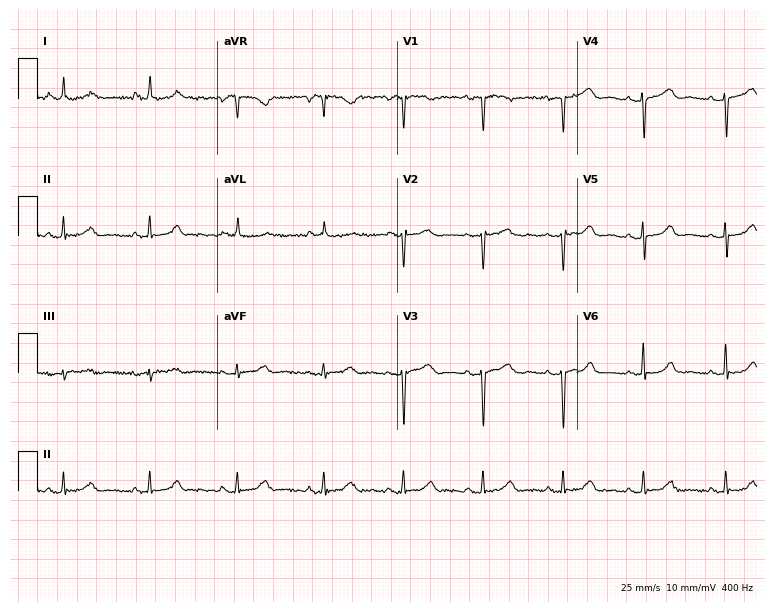
12-lead ECG (7.3-second recording at 400 Hz) from a 45-year-old female patient. Screened for six findings — first-degree AV block, right bundle branch block (RBBB), left bundle branch block (LBBB), sinus bradycardia, atrial fibrillation (AF), sinus tachycardia — none is recorded. Only these six findings were labelled.